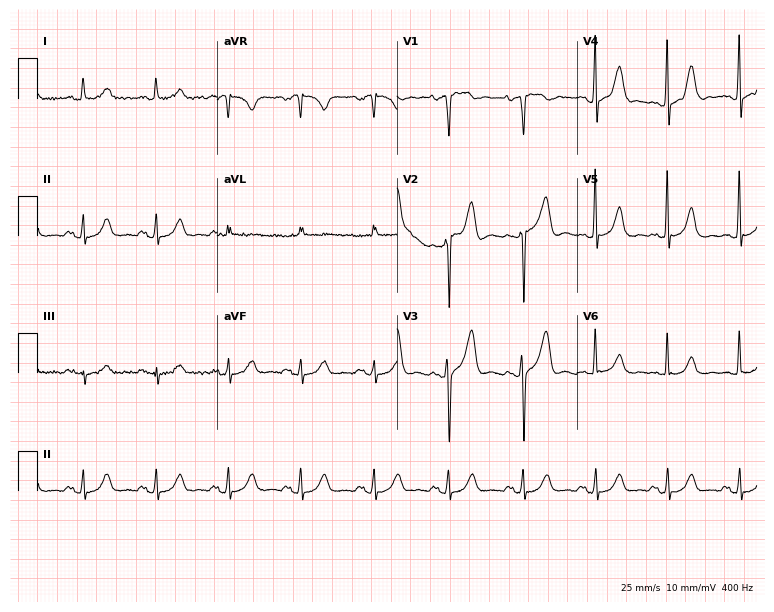
12-lead ECG (7.3-second recording at 400 Hz) from a 77-year-old man. Screened for six findings — first-degree AV block, right bundle branch block, left bundle branch block, sinus bradycardia, atrial fibrillation, sinus tachycardia — none is recorded.